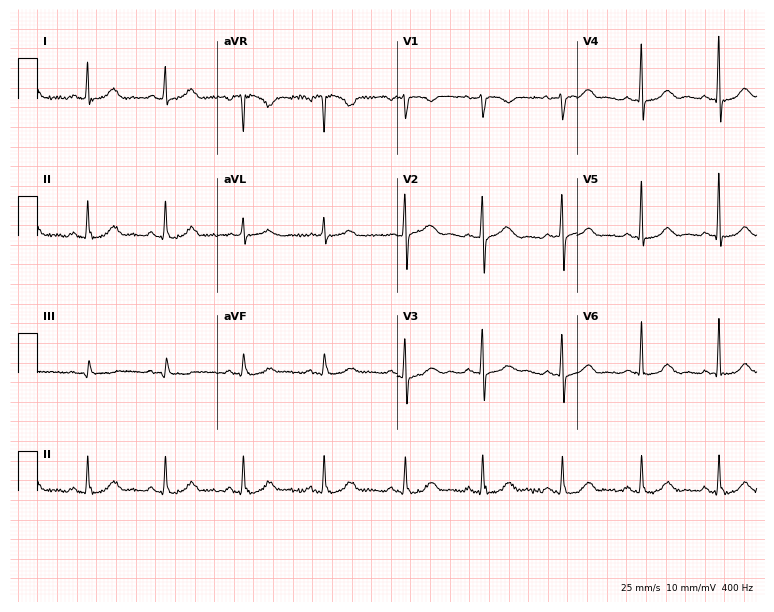
Resting 12-lead electrocardiogram. Patient: a female, 46 years old. Read as a normal ECG.